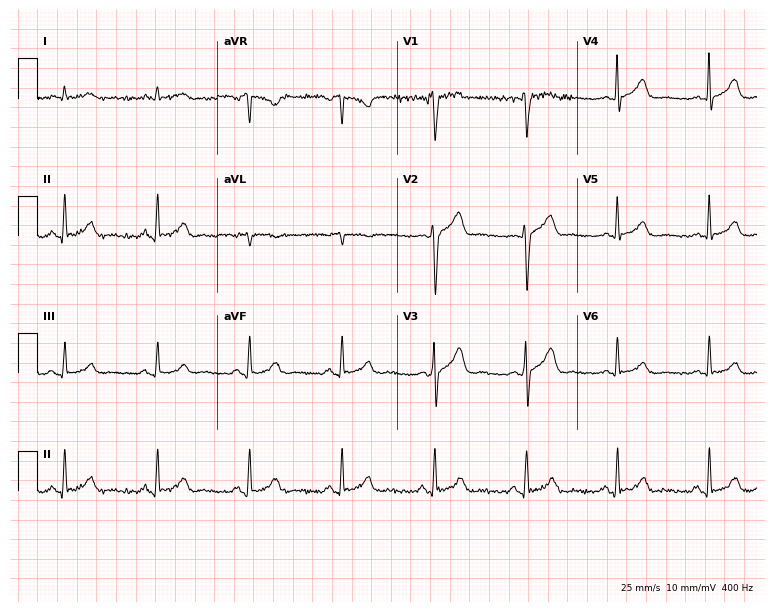
Electrocardiogram (7.3-second recording at 400 Hz), a male, 65 years old. Of the six screened findings (first-degree AV block, right bundle branch block, left bundle branch block, sinus bradycardia, atrial fibrillation, sinus tachycardia), none is recorded.